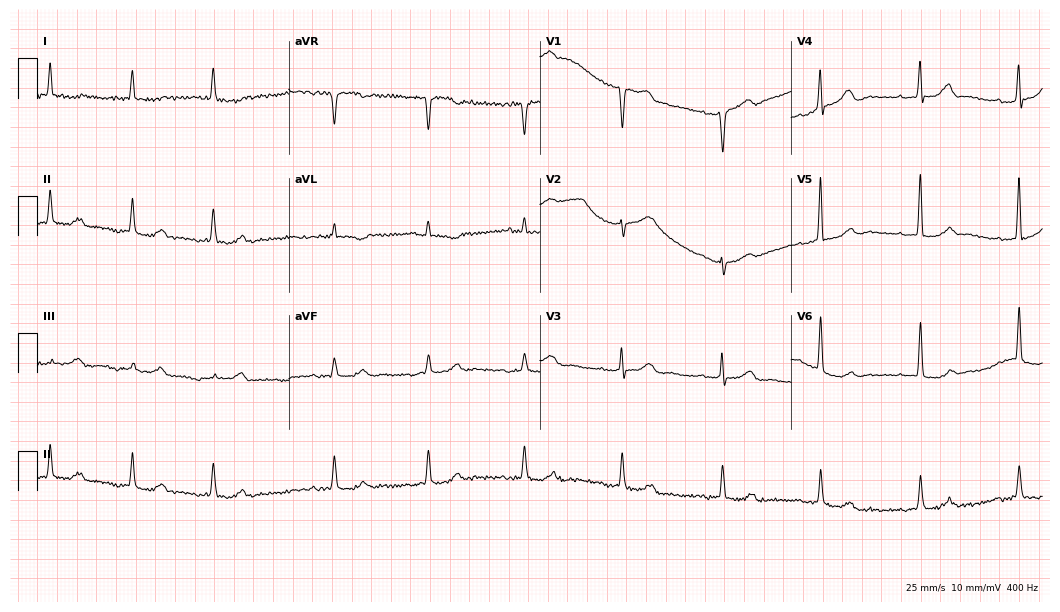
ECG — a woman, 86 years old. Labelled as a normal ECG.